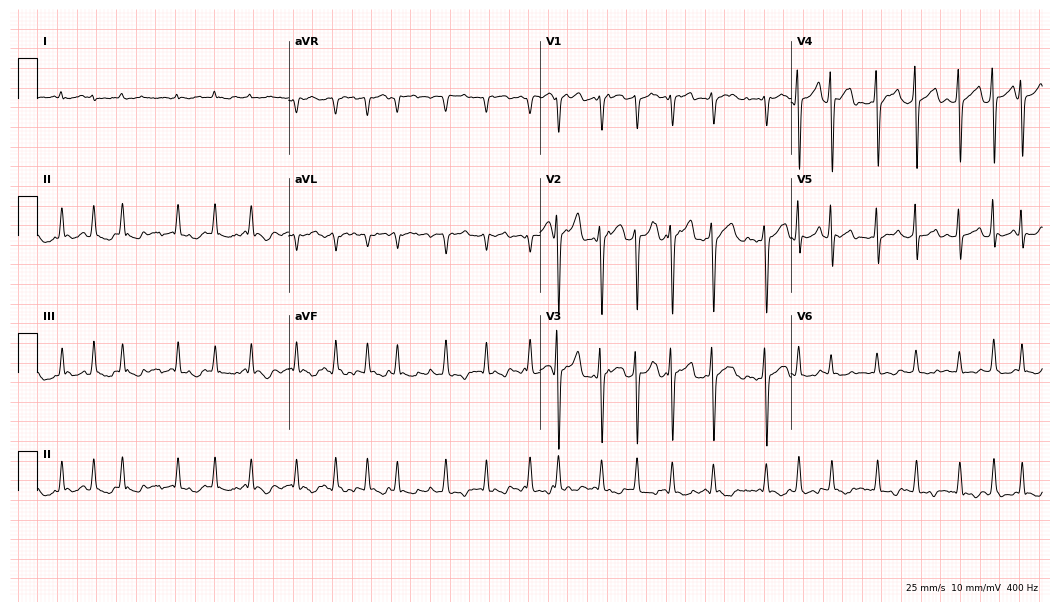
Electrocardiogram, a 67-year-old female. Interpretation includes atrial fibrillation (AF).